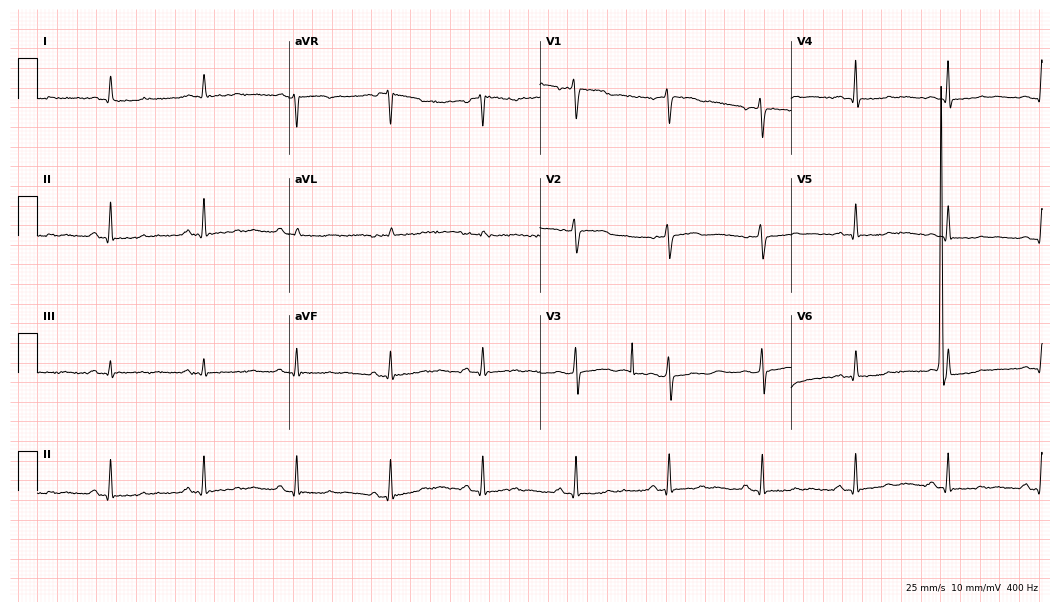
12-lead ECG (10.2-second recording at 400 Hz) from a female, 65 years old. Screened for six findings — first-degree AV block, right bundle branch block (RBBB), left bundle branch block (LBBB), sinus bradycardia, atrial fibrillation (AF), sinus tachycardia — none is recorded. Only these six findings were labelled.